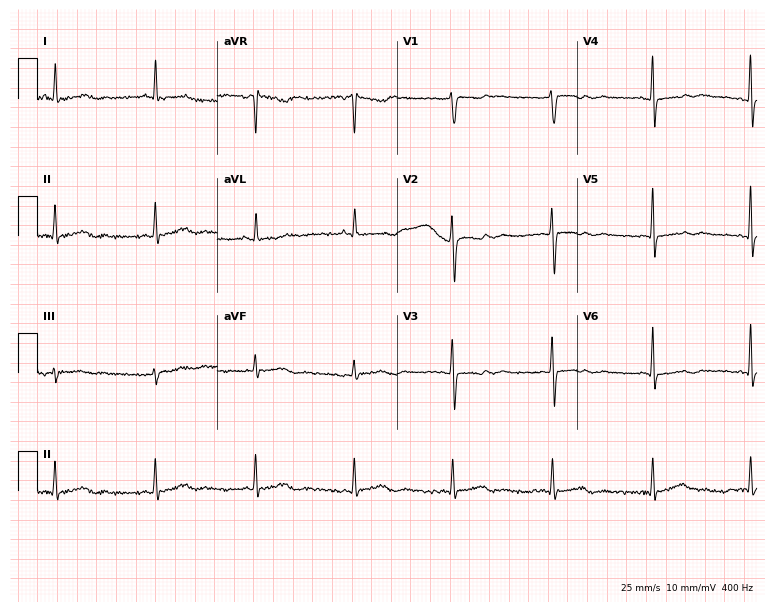
12-lead ECG from a female patient, 50 years old. Screened for six findings — first-degree AV block, right bundle branch block, left bundle branch block, sinus bradycardia, atrial fibrillation, sinus tachycardia — none is recorded. Only these six findings were labelled.